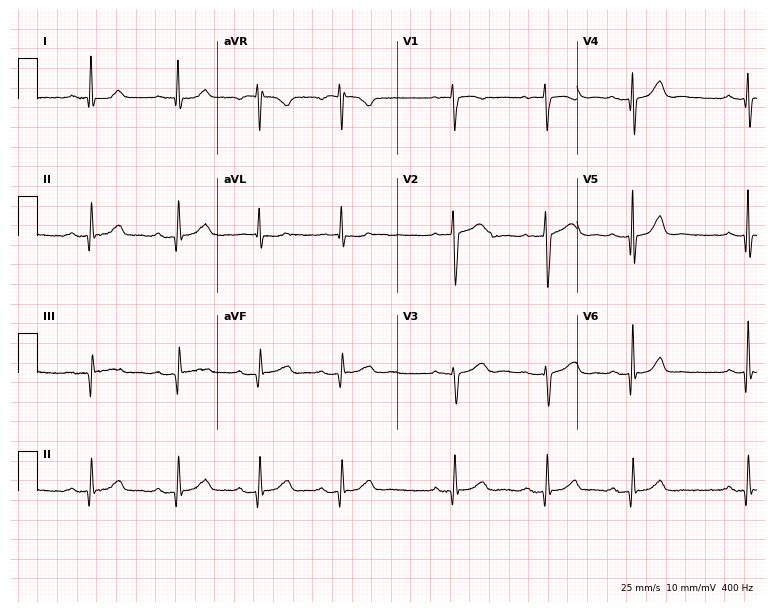
Electrocardiogram (7.3-second recording at 400 Hz), an 85-year-old woman. Of the six screened findings (first-degree AV block, right bundle branch block, left bundle branch block, sinus bradycardia, atrial fibrillation, sinus tachycardia), none is recorded. Findings outside these six are not listed.